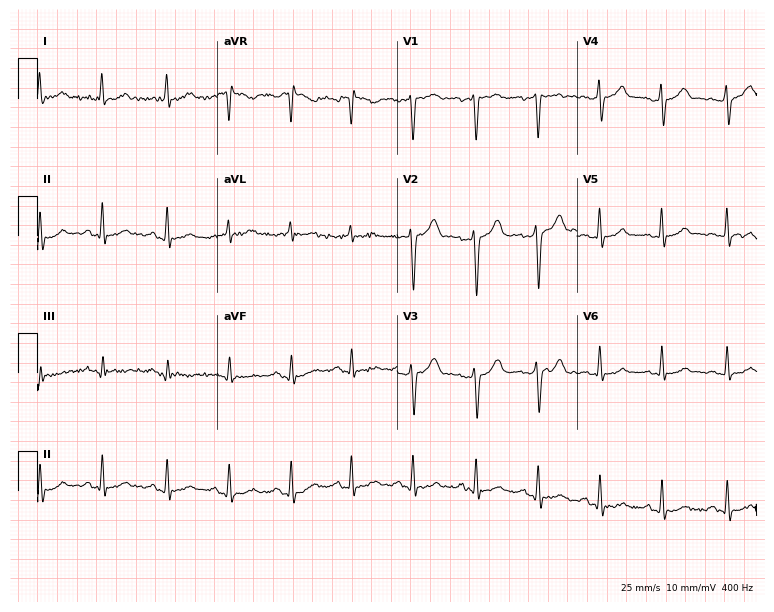
Resting 12-lead electrocardiogram. Patient: a male, 22 years old. None of these six findings is recorded: first-degree AV block, right bundle branch block, left bundle branch block, sinus bradycardia, atrial fibrillation, sinus tachycardia.